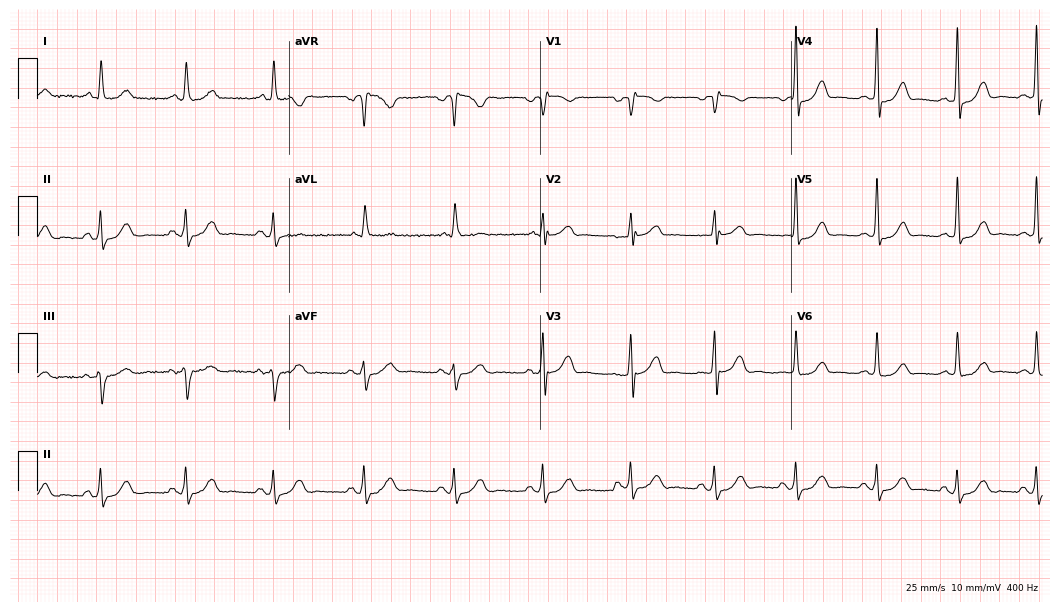
Standard 12-lead ECG recorded from a 71-year-old female patient. Read as a normal ECG.